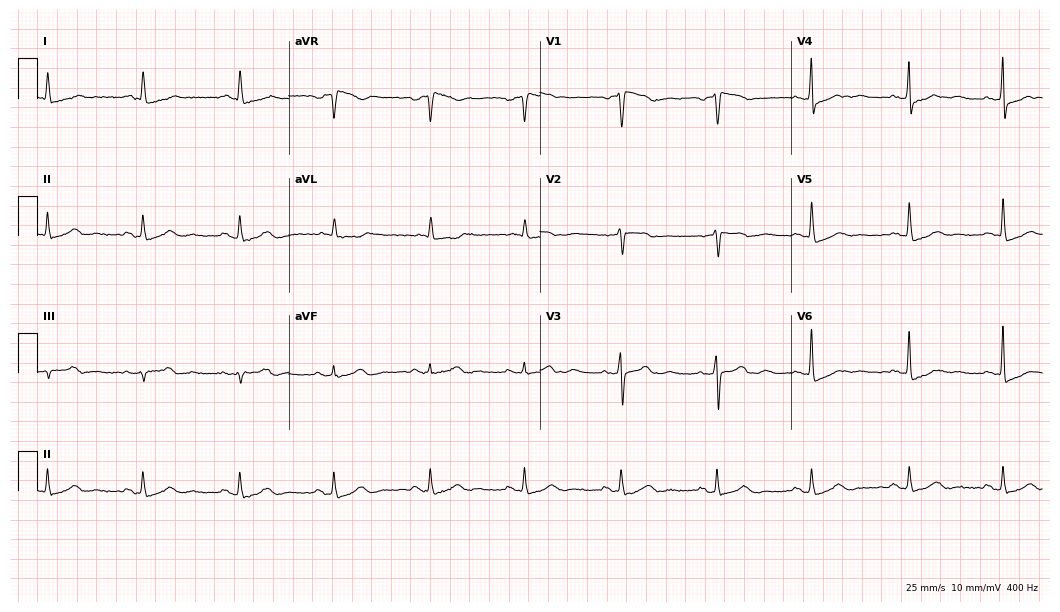
ECG (10.2-second recording at 400 Hz) — a 79-year-old female patient. Screened for six findings — first-degree AV block, right bundle branch block (RBBB), left bundle branch block (LBBB), sinus bradycardia, atrial fibrillation (AF), sinus tachycardia — none is recorded. Only these six findings were labelled.